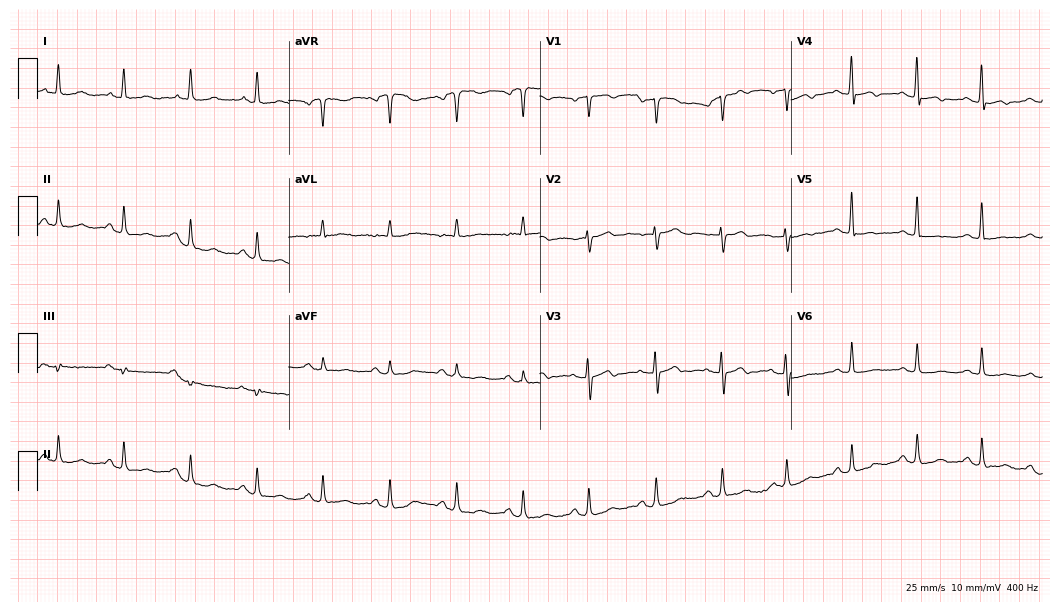
Electrocardiogram, a female patient, 58 years old. Overall reading on record: normal ECG.